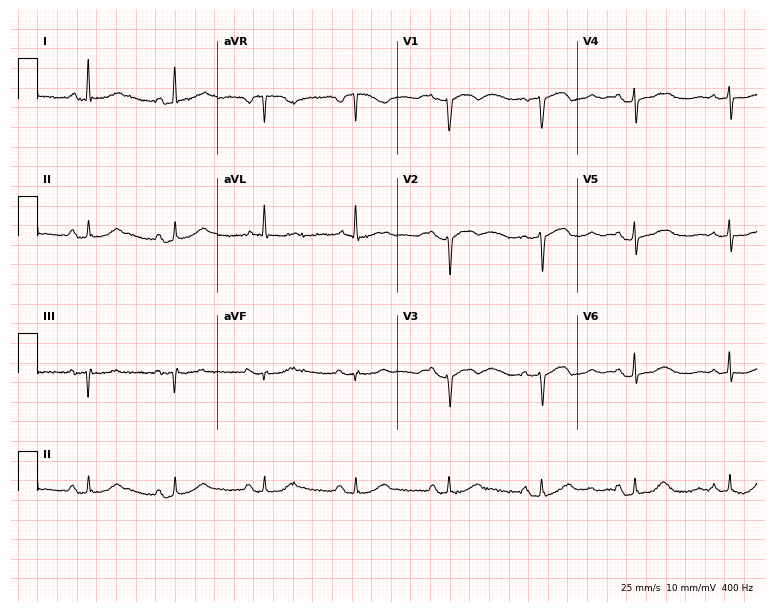
12-lead ECG from a 69-year-old female patient. Screened for six findings — first-degree AV block, right bundle branch block (RBBB), left bundle branch block (LBBB), sinus bradycardia, atrial fibrillation (AF), sinus tachycardia — none is recorded. Only these six findings were labelled.